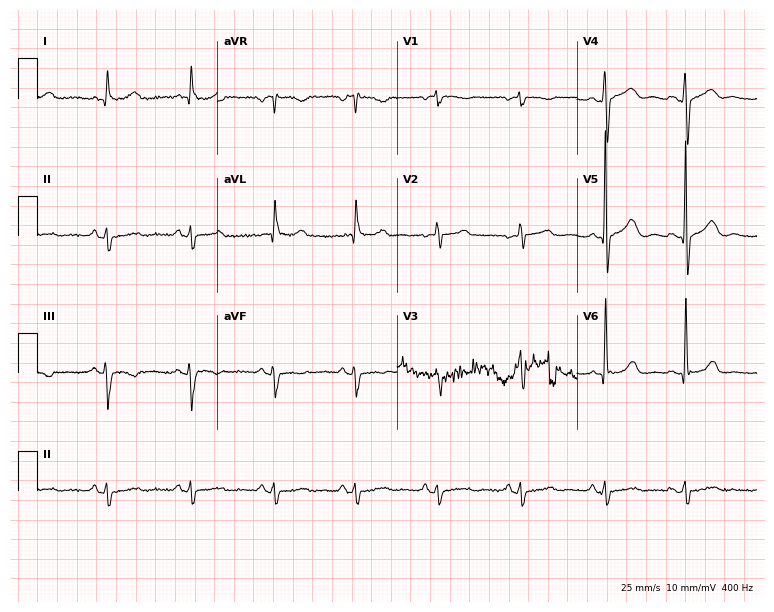
Resting 12-lead electrocardiogram (7.3-second recording at 400 Hz). Patient: a 73-year-old female. None of these six findings is recorded: first-degree AV block, right bundle branch block, left bundle branch block, sinus bradycardia, atrial fibrillation, sinus tachycardia.